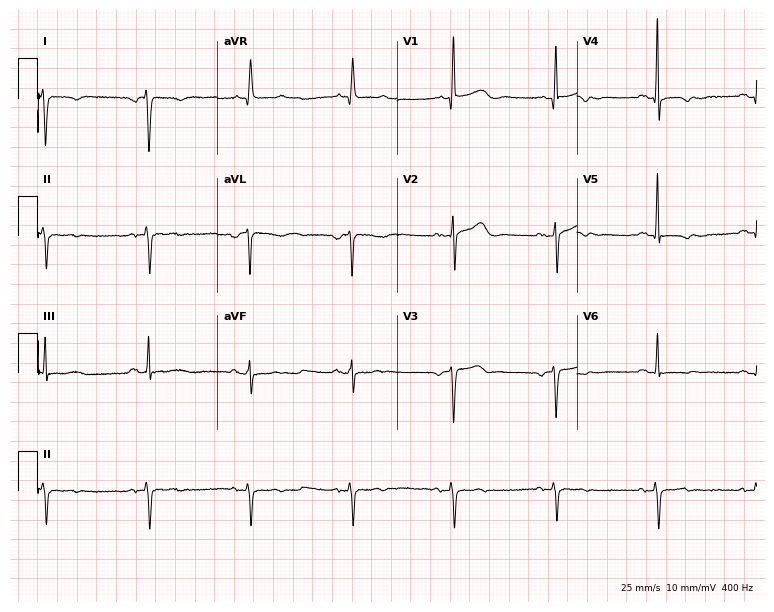
ECG (7.3-second recording at 400 Hz) — an 84-year-old female patient. Screened for six findings — first-degree AV block, right bundle branch block, left bundle branch block, sinus bradycardia, atrial fibrillation, sinus tachycardia — none is recorded. Only these six findings were labelled.